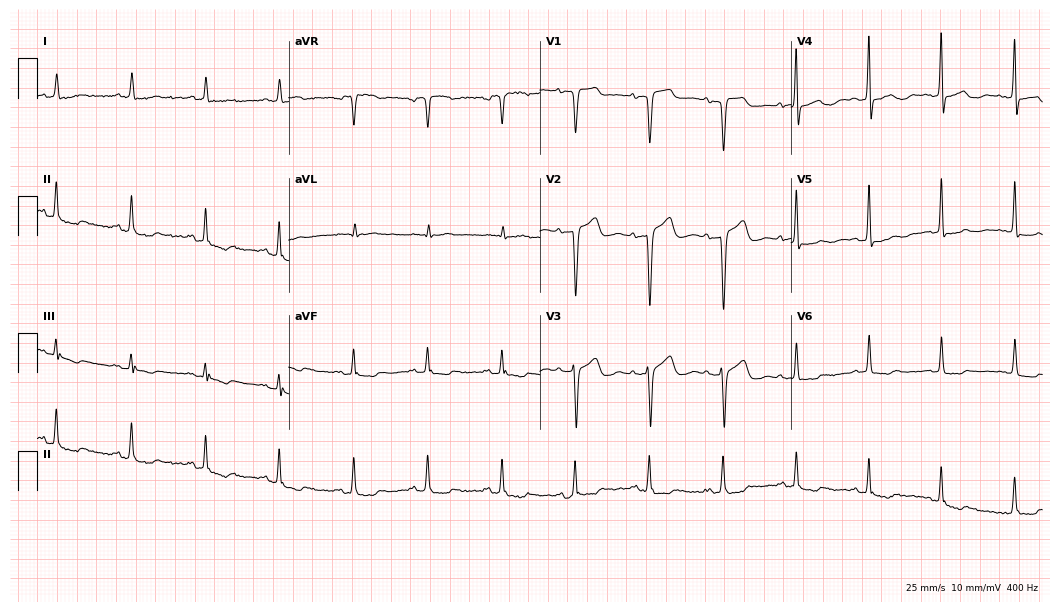
Resting 12-lead electrocardiogram. Patient: an 80-year-old female. None of these six findings is recorded: first-degree AV block, right bundle branch block (RBBB), left bundle branch block (LBBB), sinus bradycardia, atrial fibrillation (AF), sinus tachycardia.